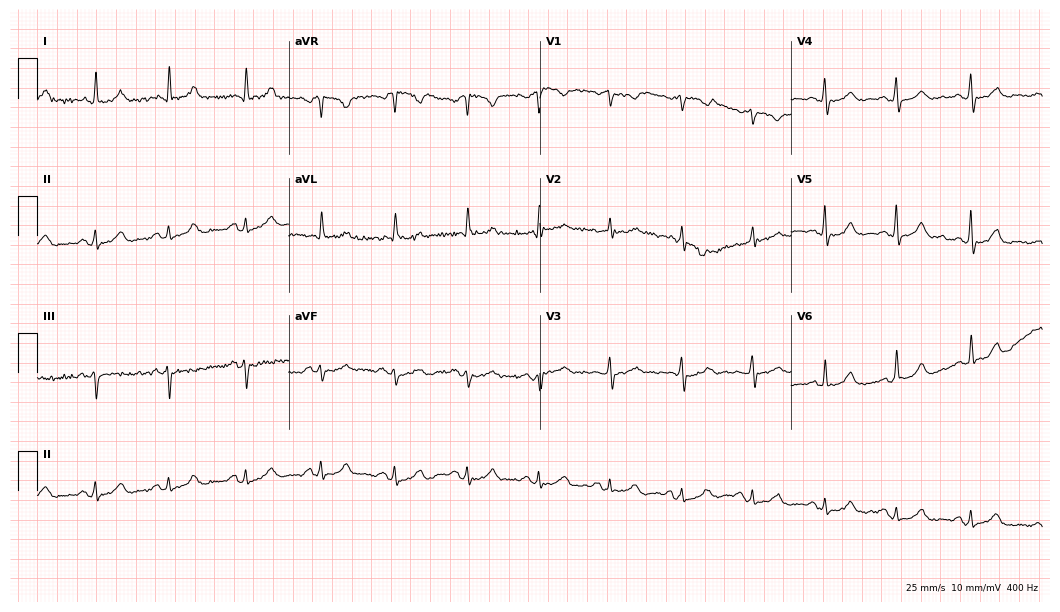
Standard 12-lead ECG recorded from a female, 76 years old (10.2-second recording at 400 Hz). None of these six findings is recorded: first-degree AV block, right bundle branch block, left bundle branch block, sinus bradycardia, atrial fibrillation, sinus tachycardia.